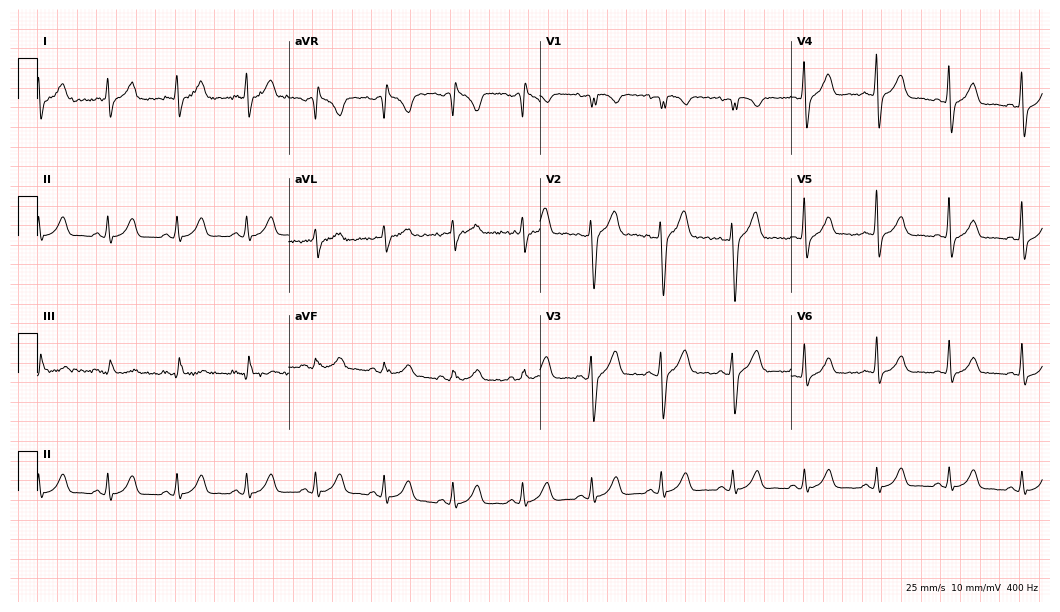
Electrocardiogram, a 35-year-old male. Overall reading on record: normal ECG.